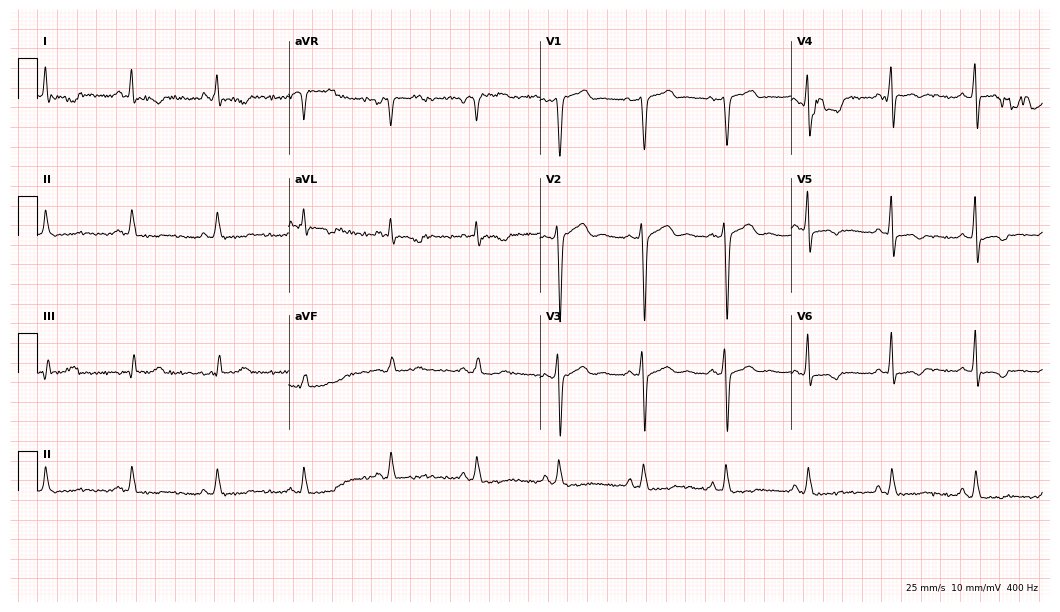
ECG — a 45-year-old male patient. Screened for six findings — first-degree AV block, right bundle branch block (RBBB), left bundle branch block (LBBB), sinus bradycardia, atrial fibrillation (AF), sinus tachycardia — none is recorded.